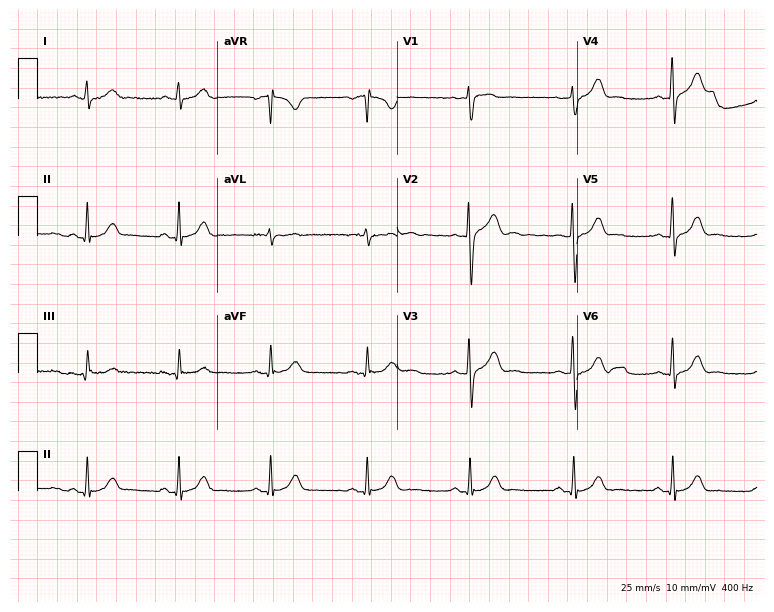
12-lead ECG from a man, 47 years old. No first-degree AV block, right bundle branch block, left bundle branch block, sinus bradycardia, atrial fibrillation or sinus tachycardia recorded for this tracing. Findings outside these six are not listed.